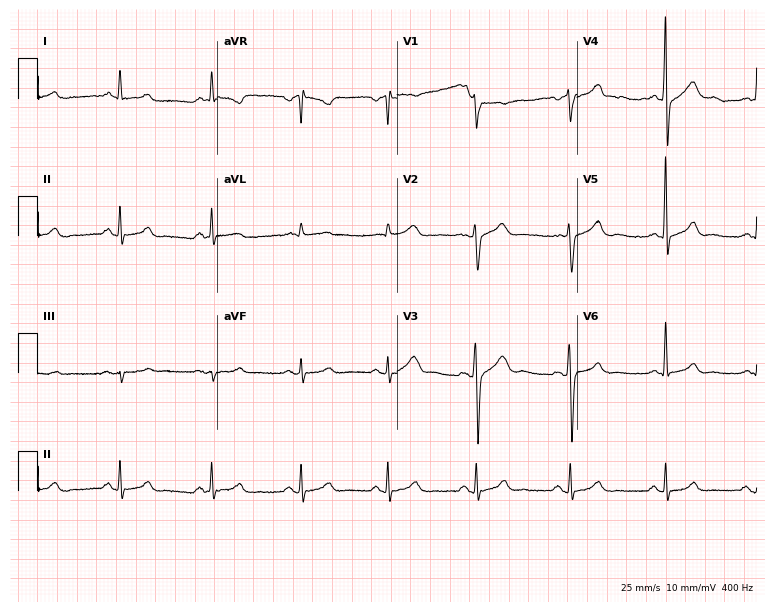
Standard 12-lead ECG recorded from a 61-year-old male (7.3-second recording at 400 Hz). Read as a normal ECG.